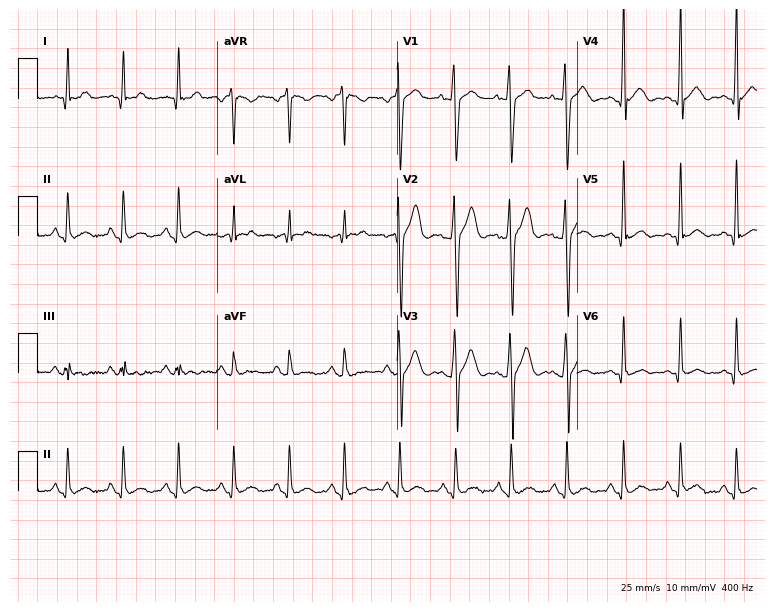
Electrocardiogram, a male patient, 20 years old. Of the six screened findings (first-degree AV block, right bundle branch block, left bundle branch block, sinus bradycardia, atrial fibrillation, sinus tachycardia), none is recorded.